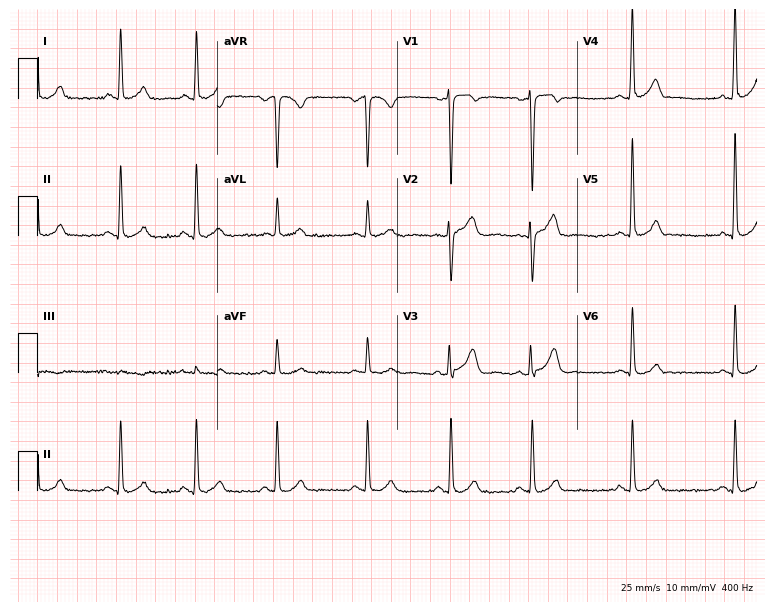
Electrocardiogram (7.3-second recording at 400 Hz), a 39-year-old male. Overall reading on record: normal ECG.